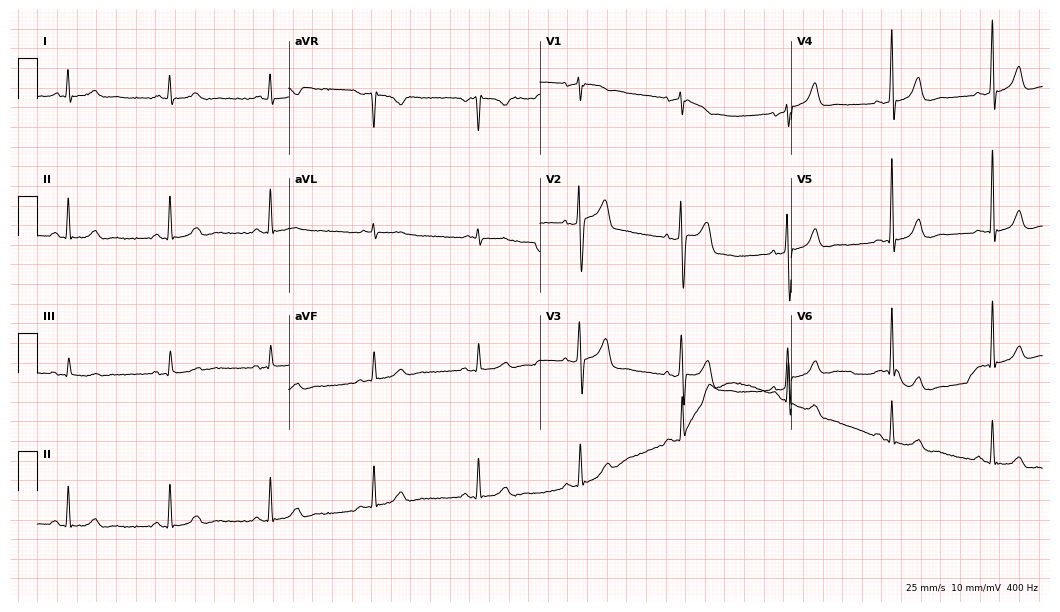
Standard 12-lead ECG recorded from a 56-year-old male patient (10.2-second recording at 400 Hz). Read as a normal ECG.